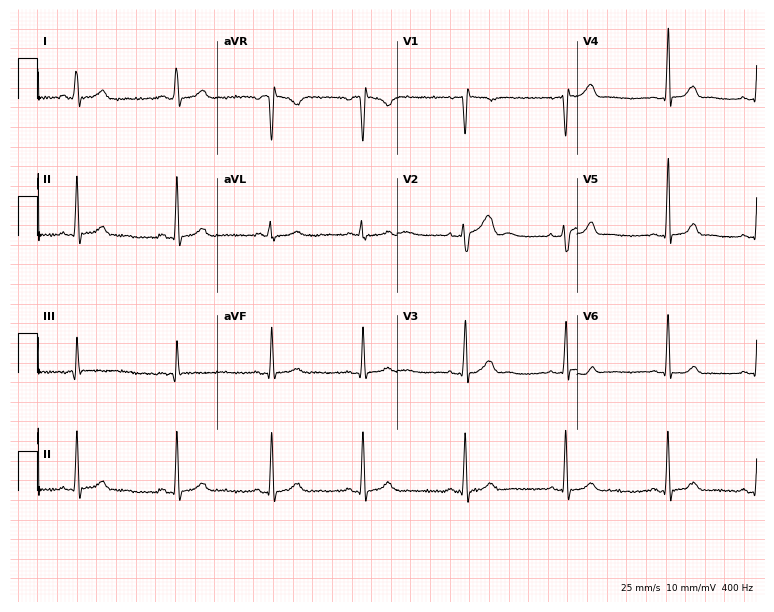
ECG — a female, 32 years old. Screened for six findings — first-degree AV block, right bundle branch block, left bundle branch block, sinus bradycardia, atrial fibrillation, sinus tachycardia — none is recorded. Findings outside these six are not listed.